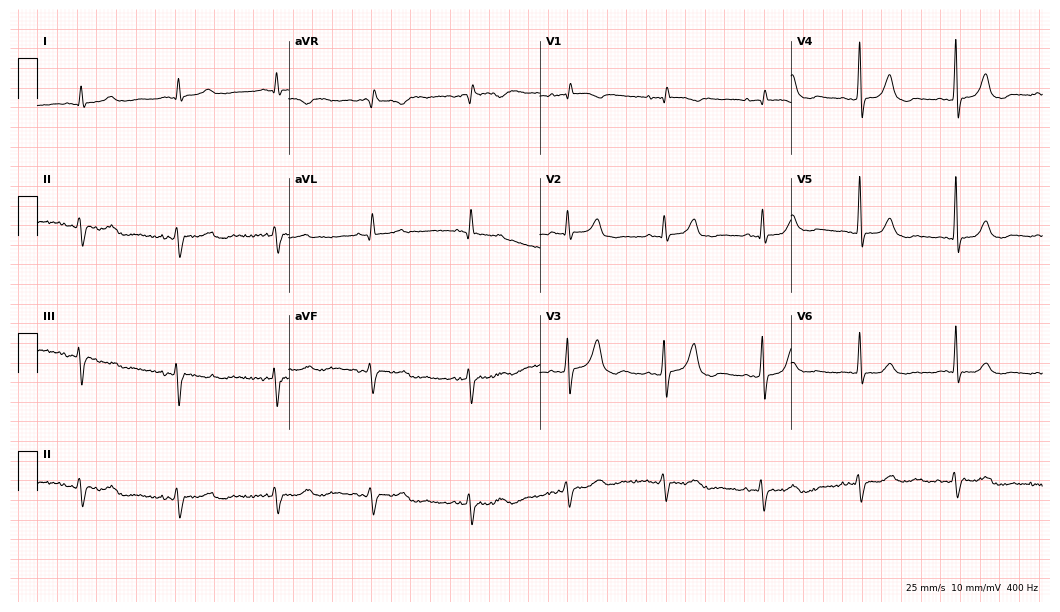
12-lead ECG from a female patient, 82 years old (10.2-second recording at 400 Hz). No first-degree AV block, right bundle branch block (RBBB), left bundle branch block (LBBB), sinus bradycardia, atrial fibrillation (AF) or sinus tachycardia recorded for this tracing.